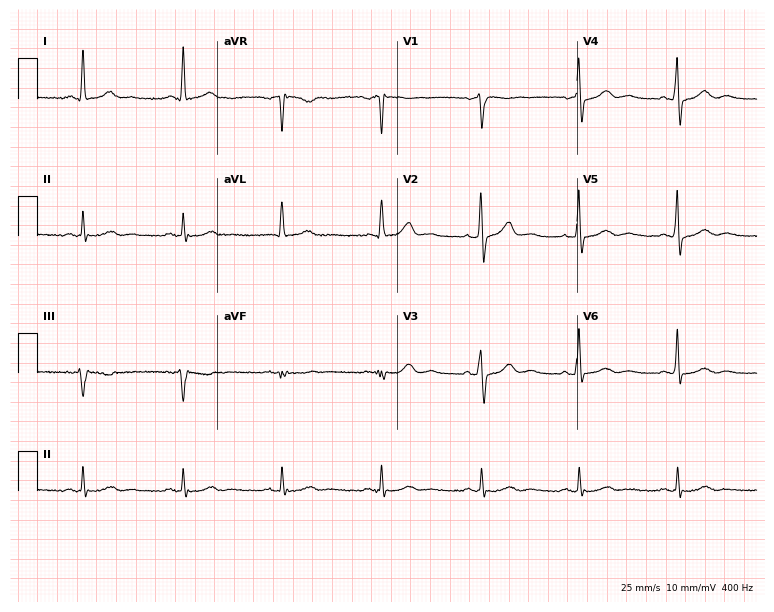
12-lead ECG from a male, 64 years old. Recorded interpretation: within normal limits.